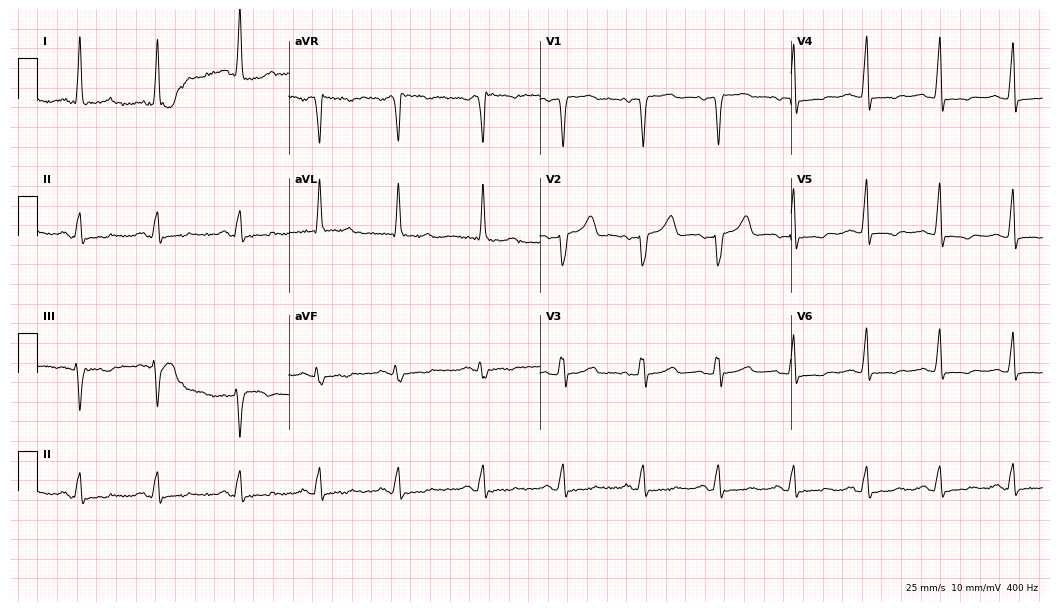
Electrocardiogram, a female patient, 41 years old. Of the six screened findings (first-degree AV block, right bundle branch block, left bundle branch block, sinus bradycardia, atrial fibrillation, sinus tachycardia), none is recorded.